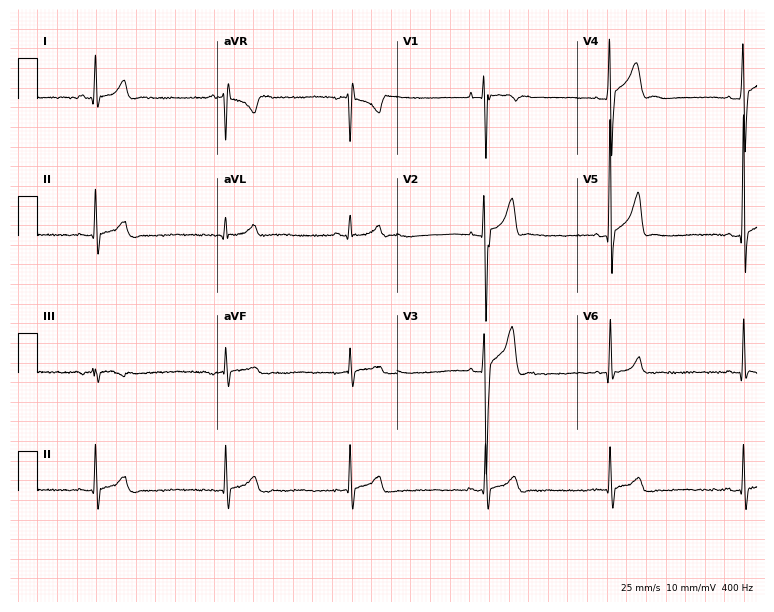
12-lead ECG (7.3-second recording at 400 Hz) from a male, 19 years old. Screened for six findings — first-degree AV block, right bundle branch block, left bundle branch block, sinus bradycardia, atrial fibrillation, sinus tachycardia — none is recorded. Other findings, if any, are not listed.